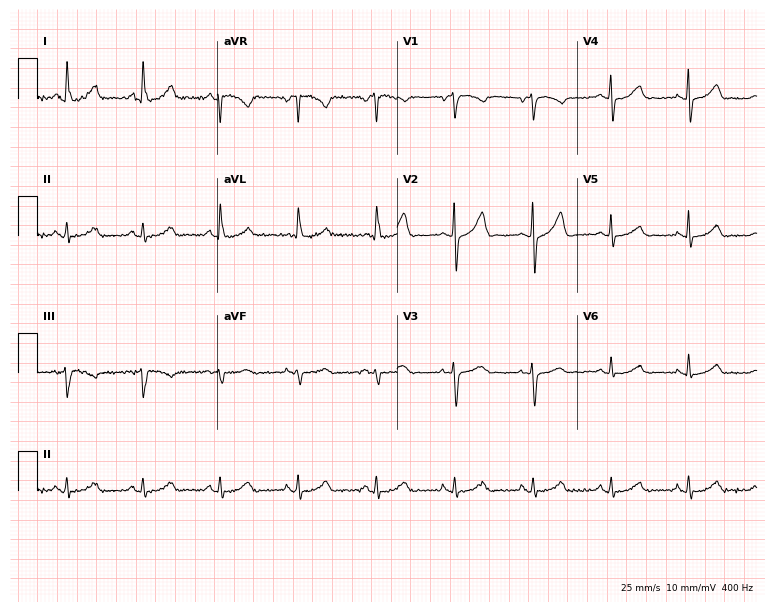
ECG — a woman, 72 years old. Labelled as a normal ECG.